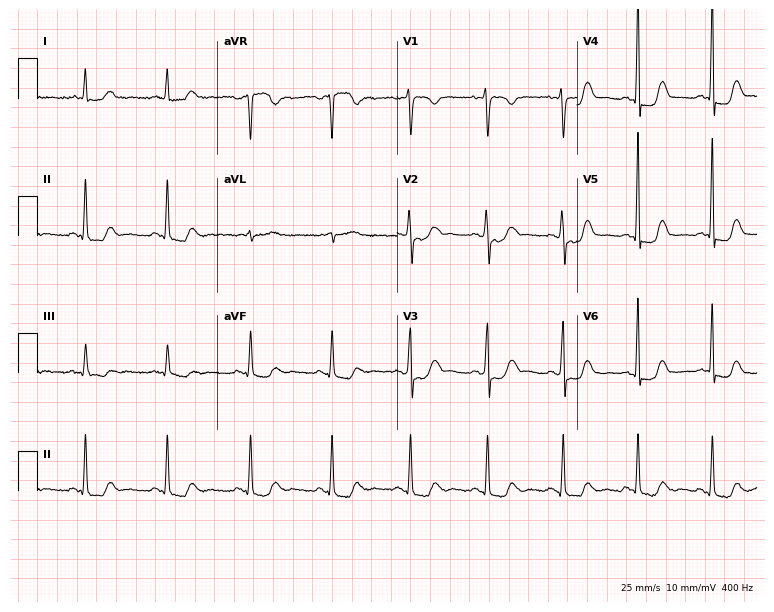
Resting 12-lead electrocardiogram. Patient: a female, 53 years old. None of these six findings is recorded: first-degree AV block, right bundle branch block, left bundle branch block, sinus bradycardia, atrial fibrillation, sinus tachycardia. Other findings, if any, are not listed.